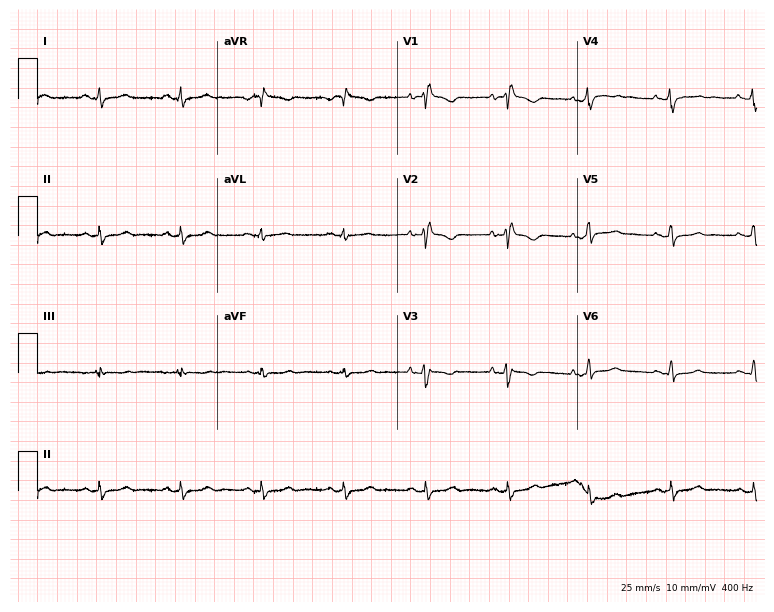
12-lead ECG from a 41-year-old female. Screened for six findings — first-degree AV block, right bundle branch block (RBBB), left bundle branch block (LBBB), sinus bradycardia, atrial fibrillation (AF), sinus tachycardia — none is recorded. Other findings, if any, are not listed.